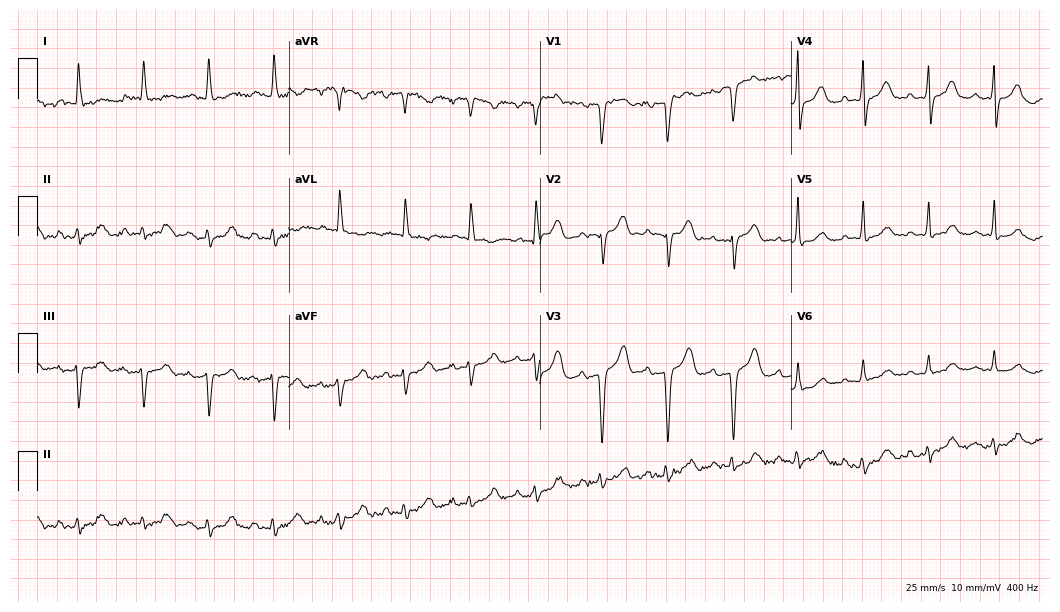
Standard 12-lead ECG recorded from a 68-year-old female patient (10.2-second recording at 400 Hz). None of these six findings is recorded: first-degree AV block, right bundle branch block, left bundle branch block, sinus bradycardia, atrial fibrillation, sinus tachycardia. Other findings, if any, are not listed.